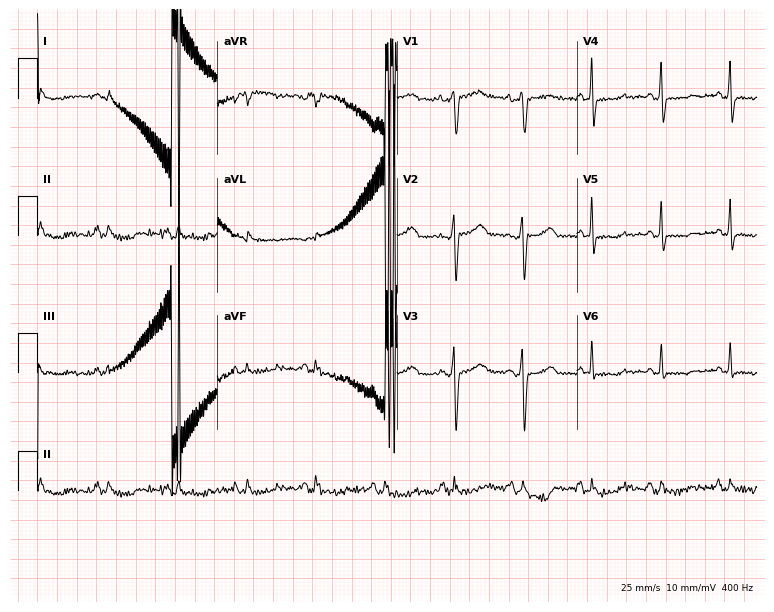
12-lead ECG from a 64-year-old woman (7.3-second recording at 400 Hz). No first-degree AV block, right bundle branch block, left bundle branch block, sinus bradycardia, atrial fibrillation or sinus tachycardia recorded for this tracing. Other findings, if any, are not listed.